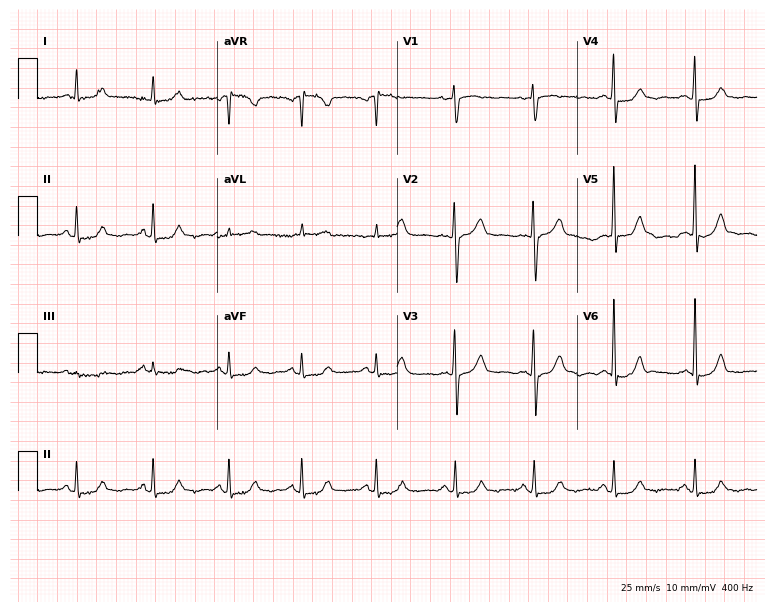
ECG (7.3-second recording at 400 Hz) — a female patient, 62 years old. Screened for six findings — first-degree AV block, right bundle branch block, left bundle branch block, sinus bradycardia, atrial fibrillation, sinus tachycardia — none is recorded. Only these six findings were labelled.